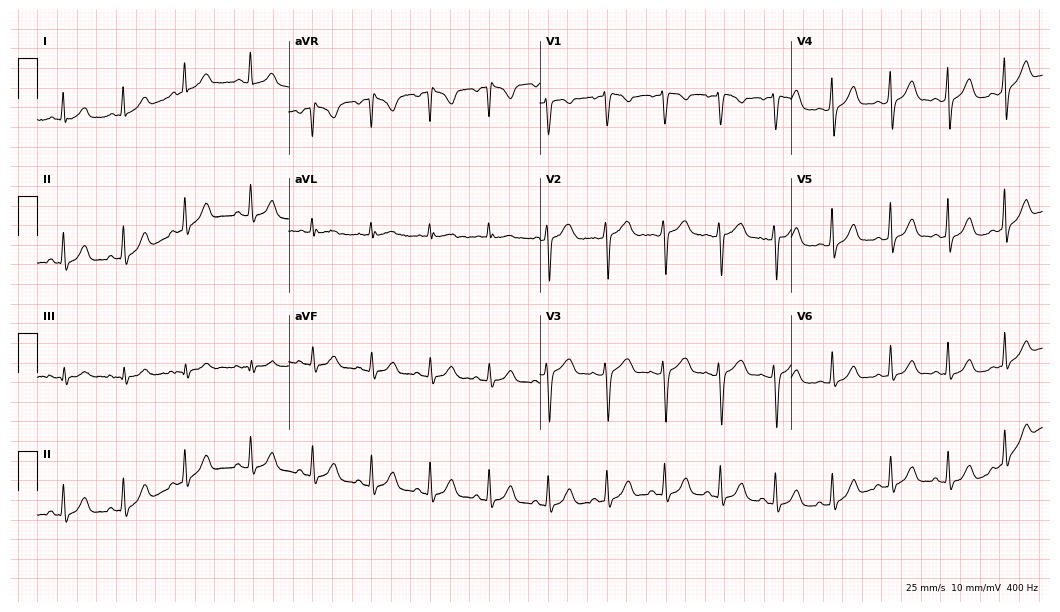
ECG — a female patient, 28 years old. Labelled as a normal ECG.